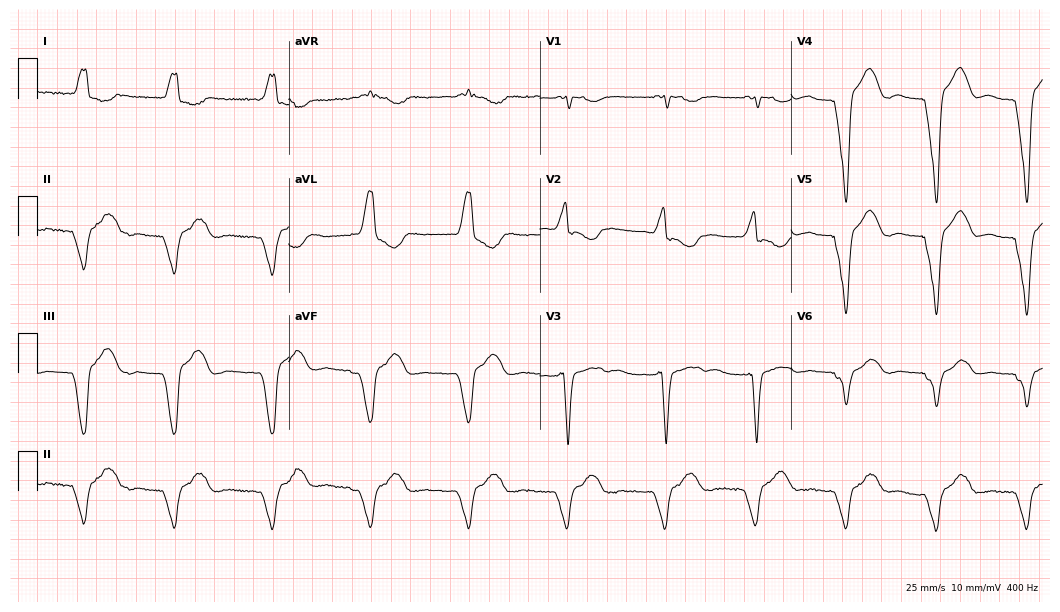
12-lead ECG from a 78-year-old female patient. No first-degree AV block, right bundle branch block, left bundle branch block, sinus bradycardia, atrial fibrillation or sinus tachycardia recorded for this tracing.